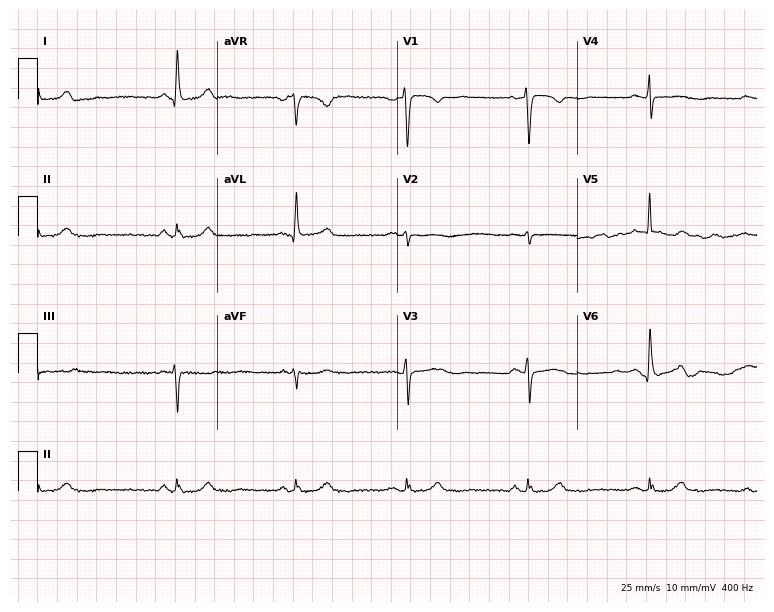
12-lead ECG from a female patient, 53 years old. Screened for six findings — first-degree AV block, right bundle branch block, left bundle branch block, sinus bradycardia, atrial fibrillation, sinus tachycardia — none is recorded.